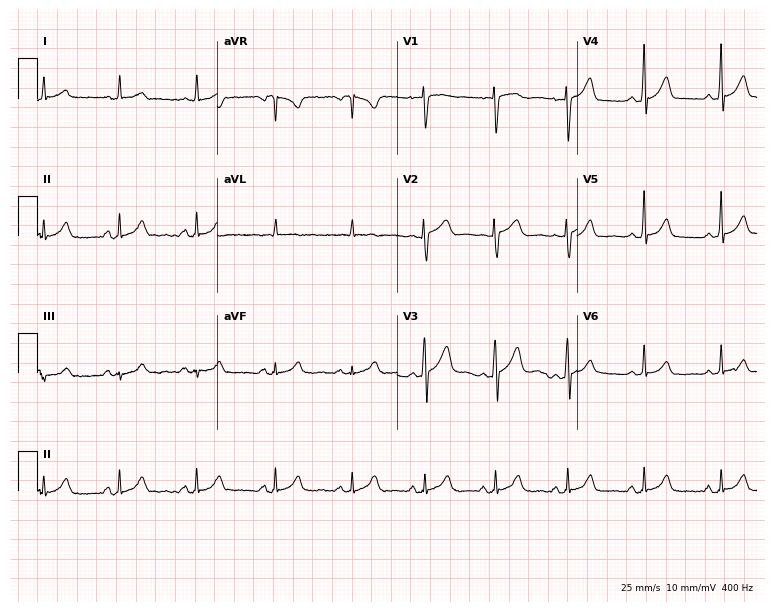
12-lead ECG (7.3-second recording at 400 Hz) from a 42-year-old woman. Labelled as a normal ECG.